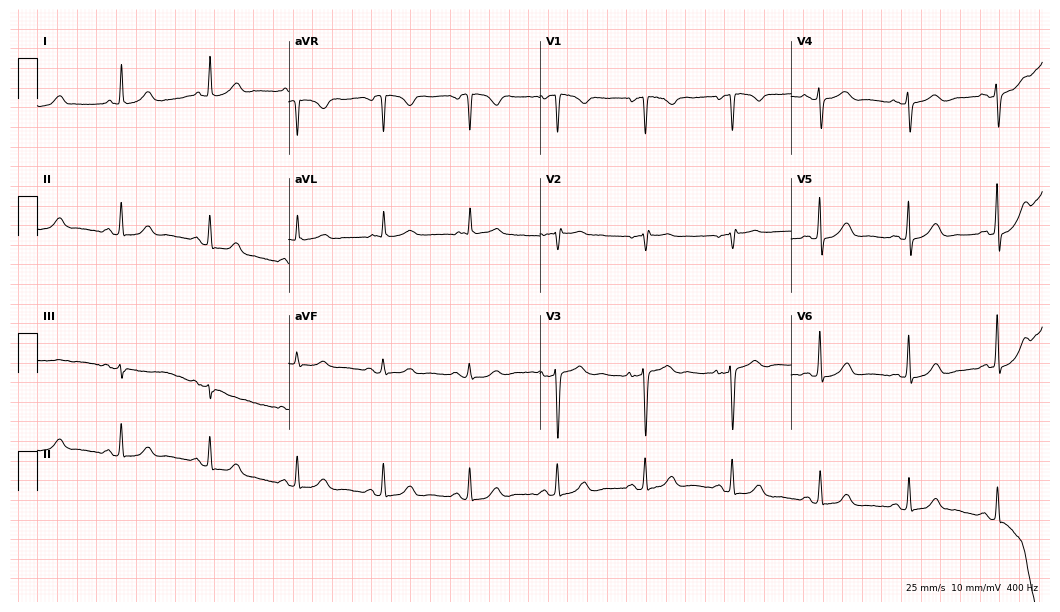
ECG — a 52-year-old woman. Labelled as a normal ECG.